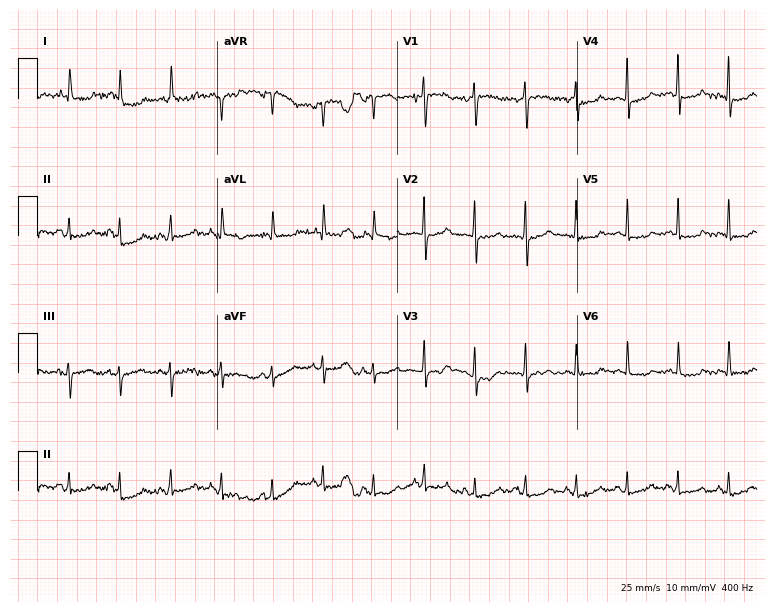
Electrocardiogram (7.3-second recording at 400 Hz), a female, 74 years old. Interpretation includes sinus tachycardia (a sinus rate of 100 beats per minute or more).